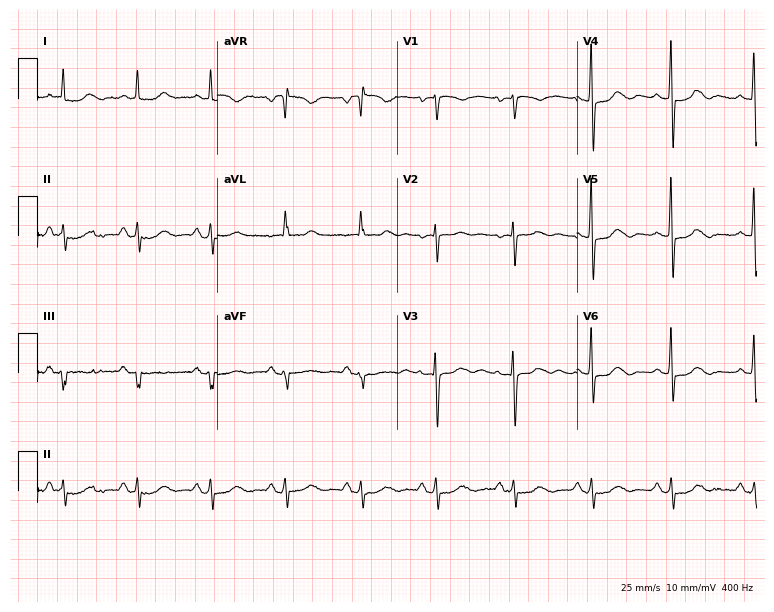
Standard 12-lead ECG recorded from a female patient, 85 years old (7.3-second recording at 400 Hz). Read as a normal ECG.